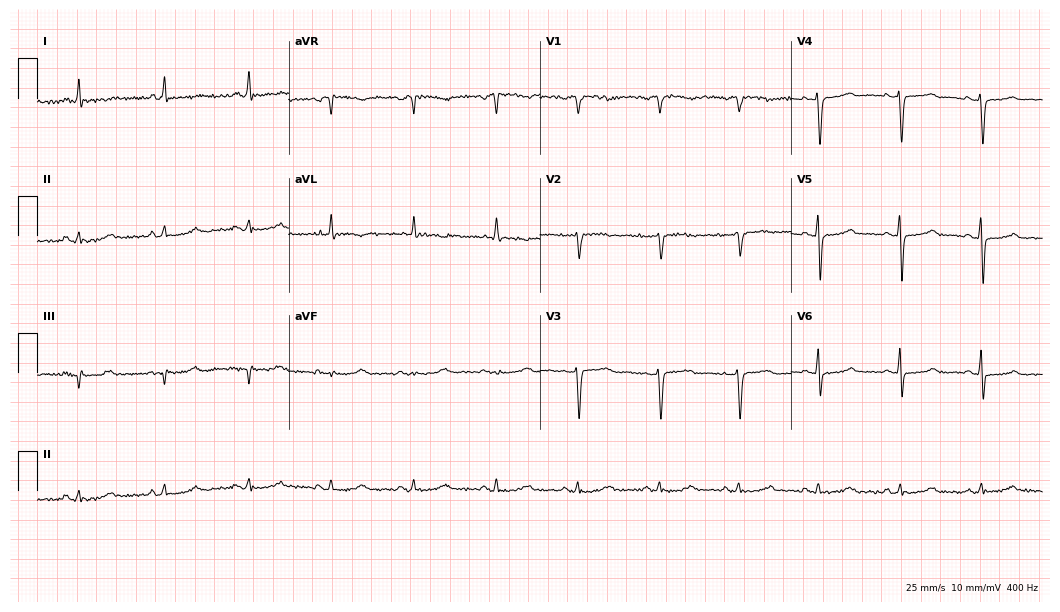
ECG (10.2-second recording at 400 Hz) — a 70-year-old female patient. Screened for six findings — first-degree AV block, right bundle branch block, left bundle branch block, sinus bradycardia, atrial fibrillation, sinus tachycardia — none is recorded. Findings outside these six are not listed.